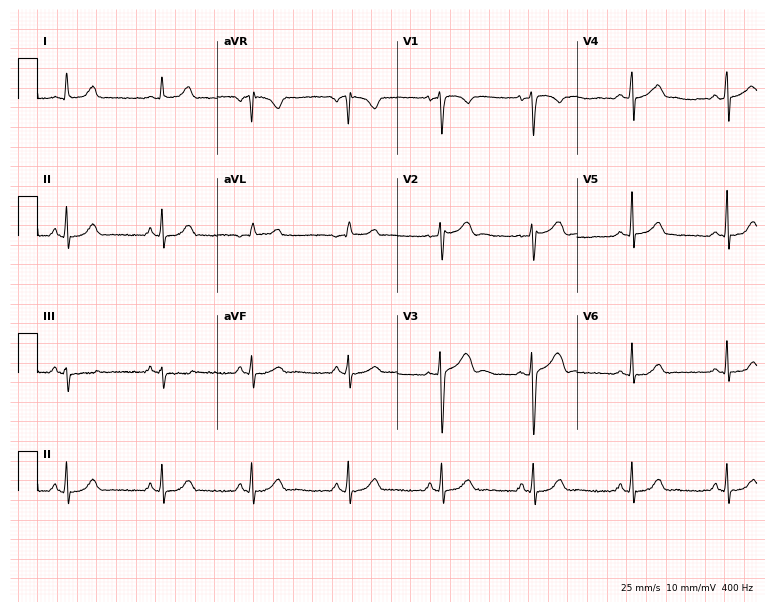
12-lead ECG from a female patient, 26 years old. Labelled as a normal ECG.